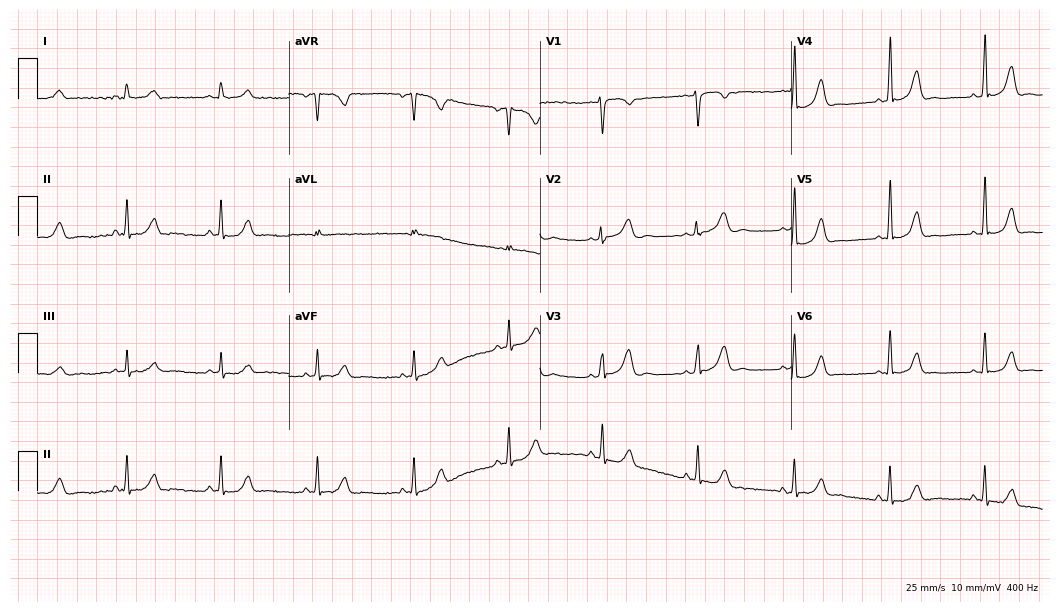
Standard 12-lead ECG recorded from a 31-year-old female patient (10.2-second recording at 400 Hz). Read as a normal ECG.